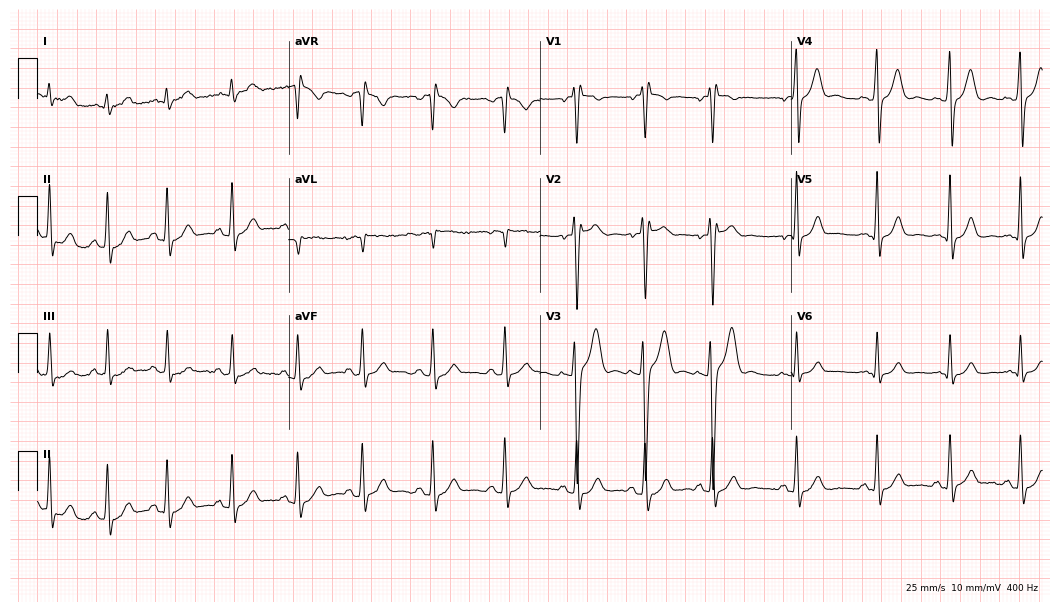
ECG (10.2-second recording at 400 Hz) — a 17-year-old male patient. Screened for six findings — first-degree AV block, right bundle branch block, left bundle branch block, sinus bradycardia, atrial fibrillation, sinus tachycardia — none is recorded. Other findings, if any, are not listed.